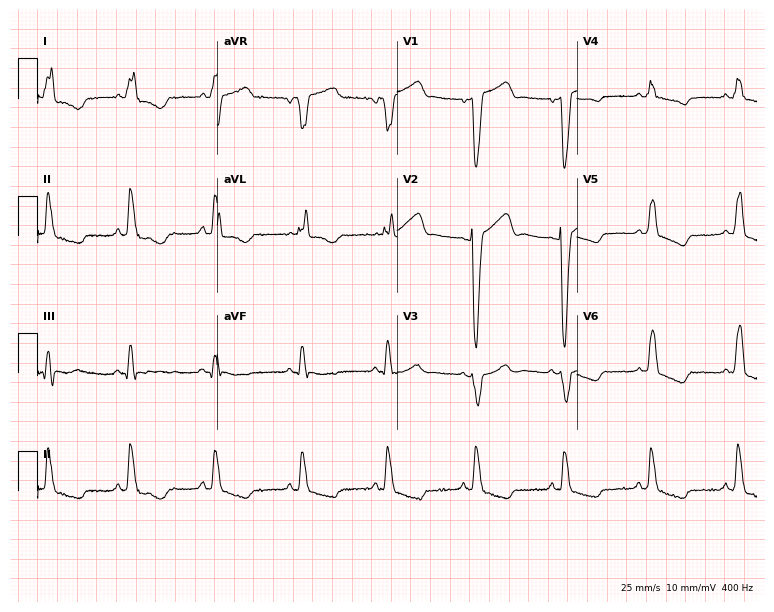
12-lead ECG from an 89-year-old woman (7.3-second recording at 400 Hz). Shows left bundle branch block.